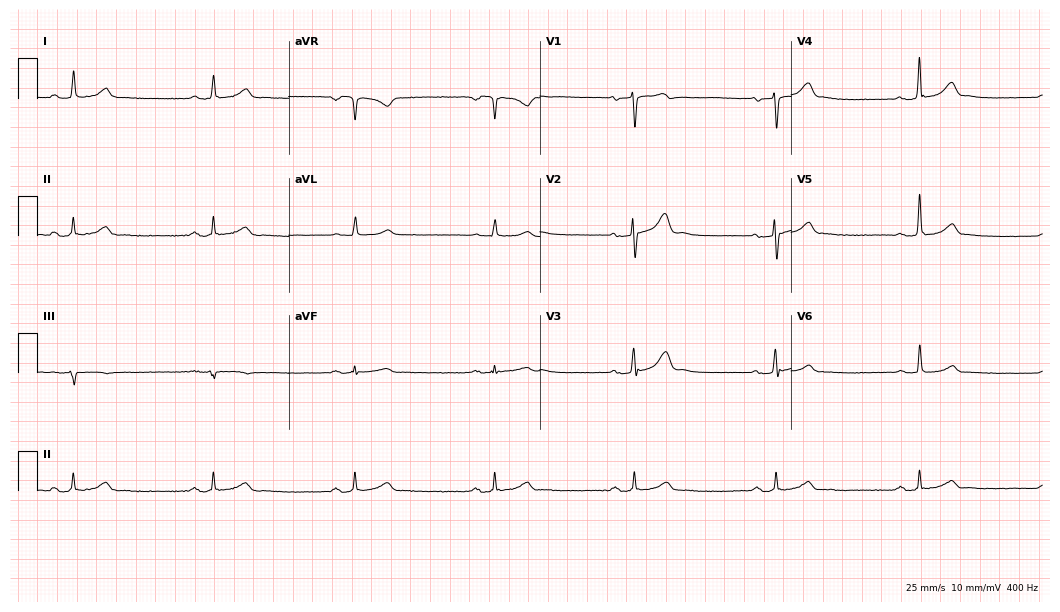
Standard 12-lead ECG recorded from a 48-year-old female (10.2-second recording at 400 Hz). The tracing shows first-degree AV block, sinus bradycardia (a sinus rate of 50 beats per minute or less).